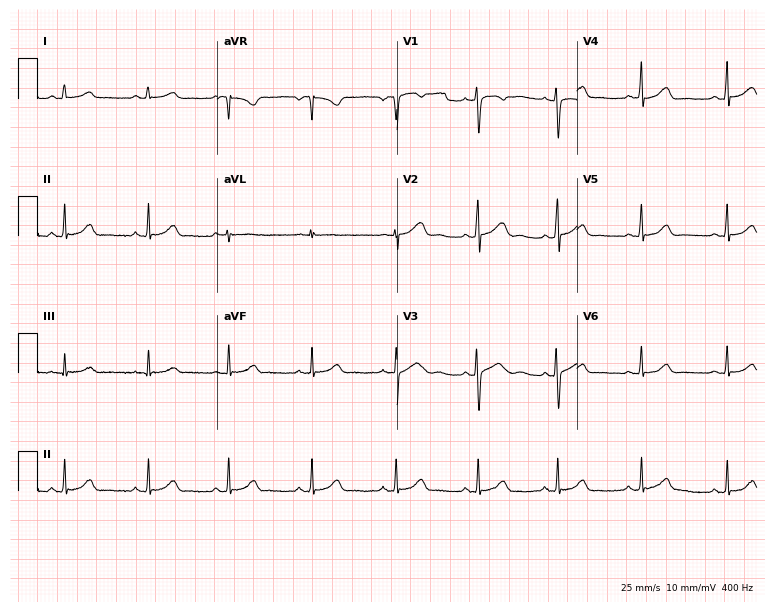
Electrocardiogram (7.3-second recording at 400 Hz), a woman, 33 years old. Overall reading on record: normal ECG.